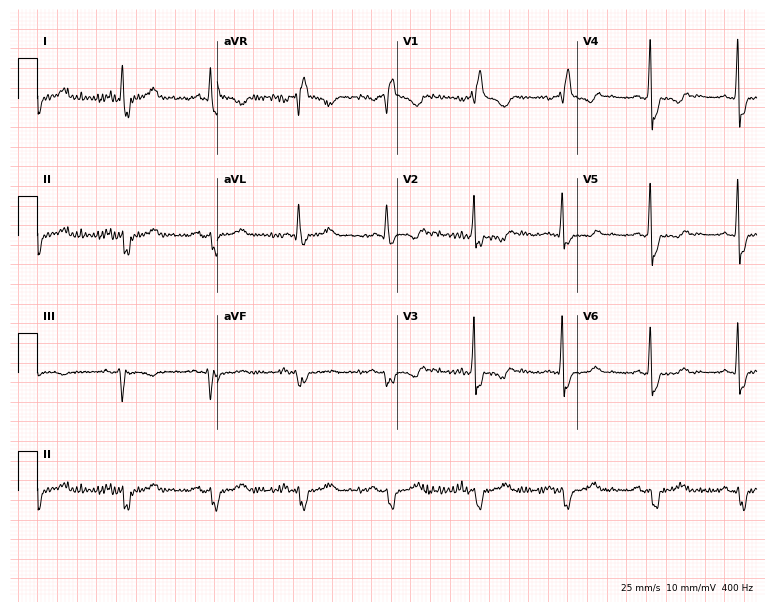
12-lead ECG from a 52-year-old female. Shows right bundle branch block (RBBB).